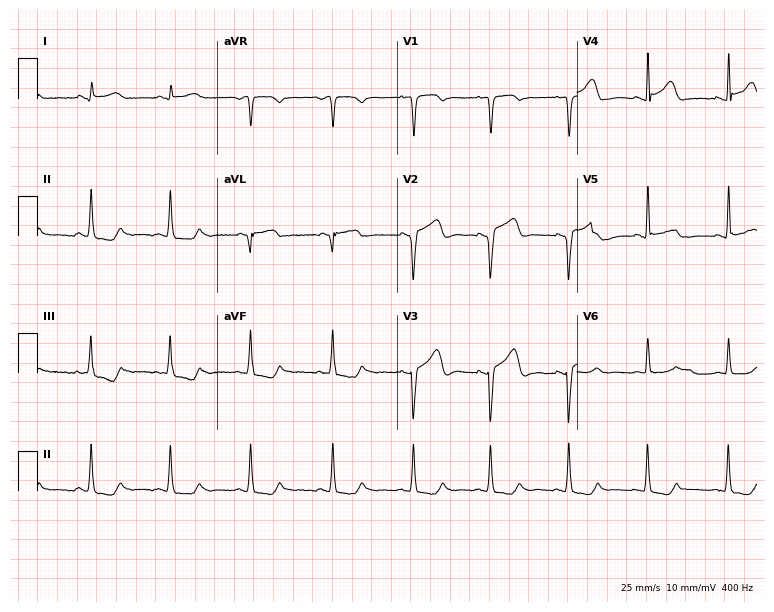
12-lead ECG from a woman, 48 years old (7.3-second recording at 400 Hz). No first-degree AV block, right bundle branch block, left bundle branch block, sinus bradycardia, atrial fibrillation or sinus tachycardia recorded for this tracing.